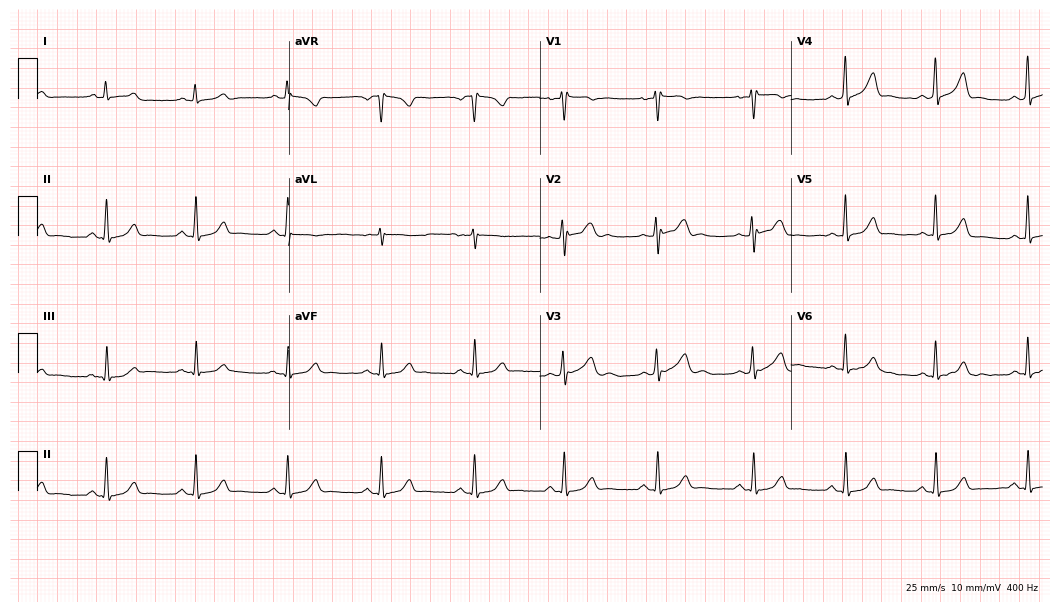
ECG — a female patient, 33 years old. Labelled as a normal ECG.